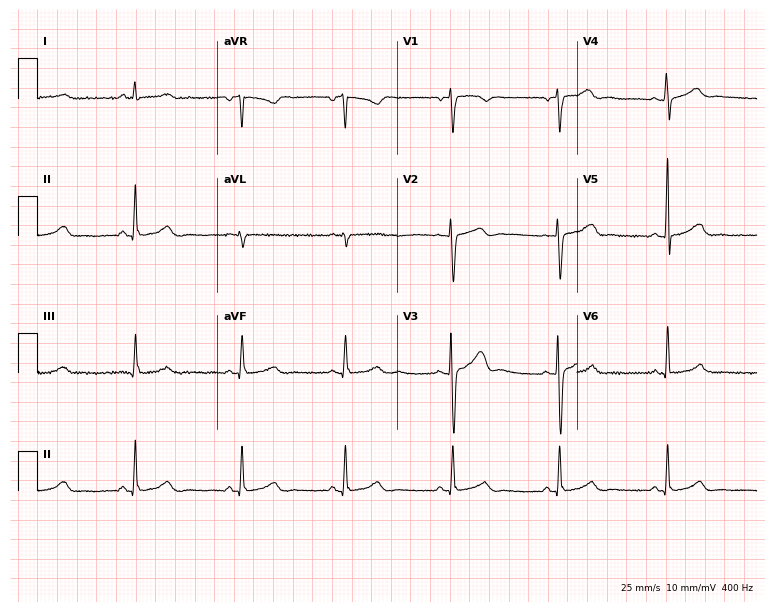
12-lead ECG (7.3-second recording at 400 Hz) from a male, 51 years old. Labelled as a normal ECG.